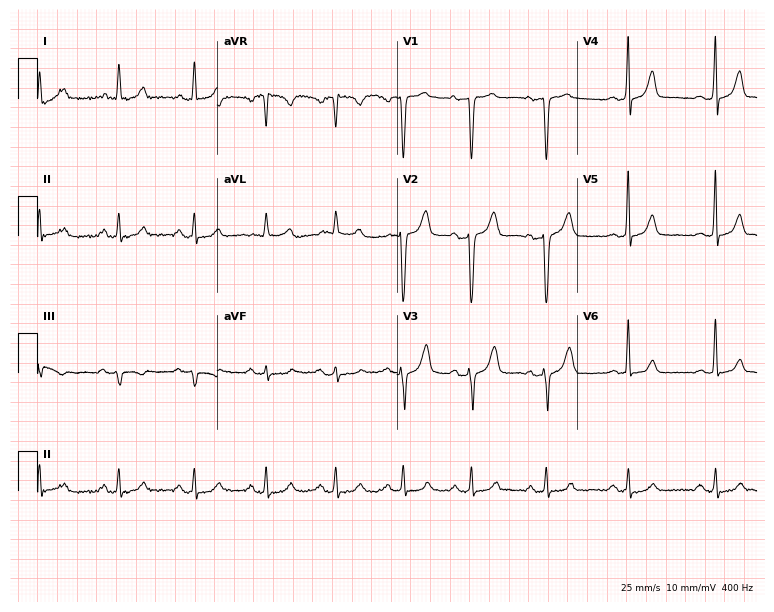
Resting 12-lead electrocardiogram. Patient: a woman, 56 years old. Read as a normal ECG.